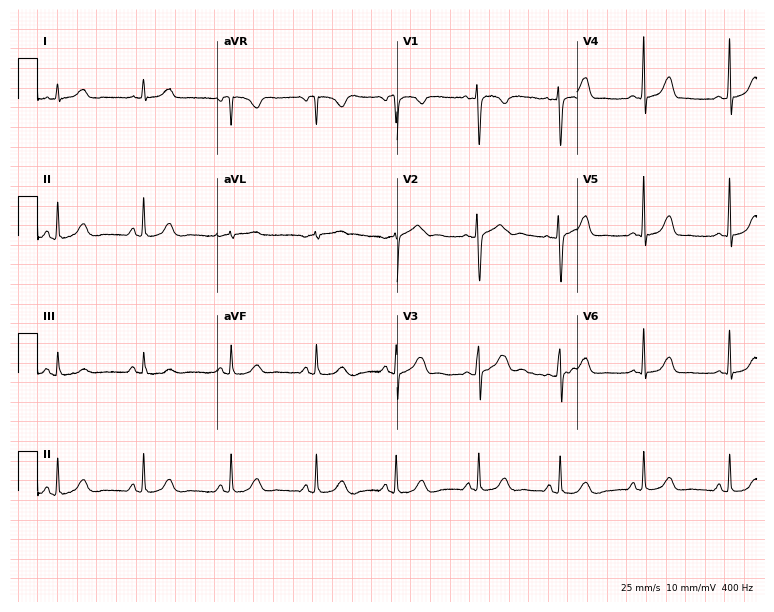
ECG — a 43-year-old female patient. Labelled as a normal ECG.